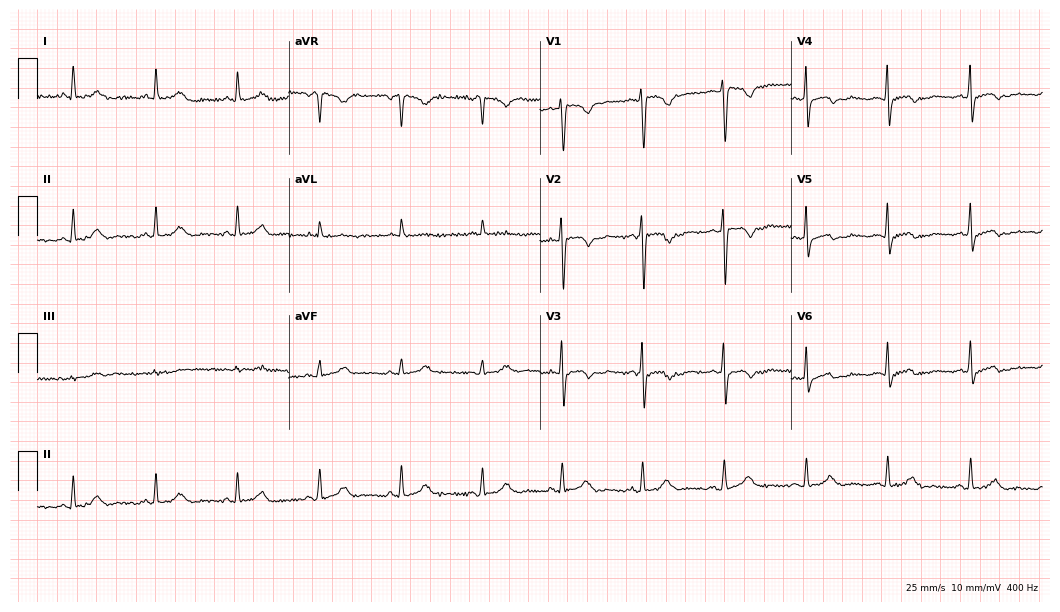
Electrocardiogram, a female, 36 years old. Of the six screened findings (first-degree AV block, right bundle branch block (RBBB), left bundle branch block (LBBB), sinus bradycardia, atrial fibrillation (AF), sinus tachycardia), none is recorded.